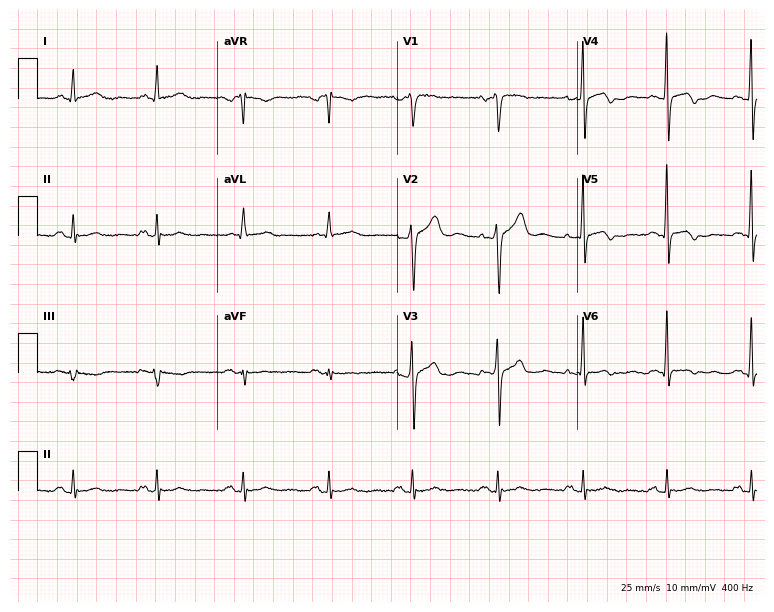
12-lead ECG from a female patient, 57 years old. Screened for six findings — first-degree AV block, right bundle branch block, left bundle branch block, sinus bradycardia, atrial fibrillation, sinus tachycardia — none is recorded. Findings outside these six are not listed.